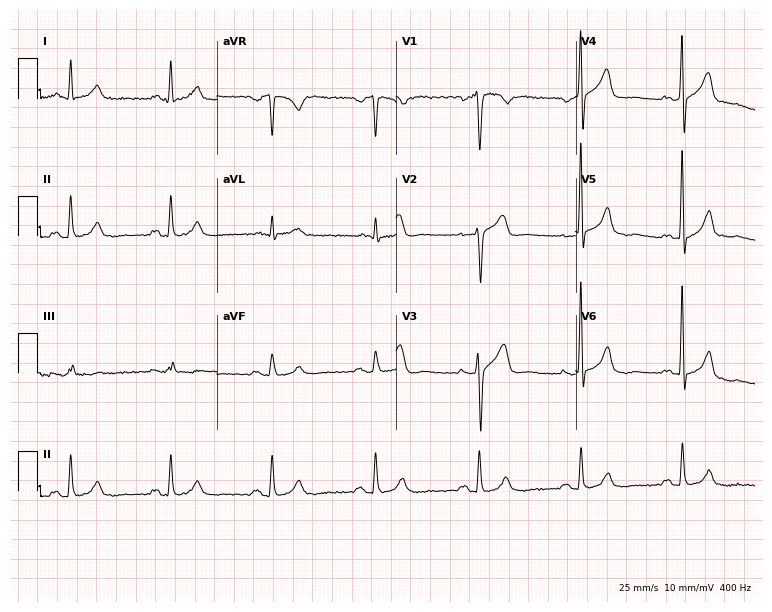
12-lead ECG (7.3-second recording at 400 Hz) from a 55-year-old man. Screened for six findings — first-degree AV block, right bundle branch block, left bundle branch block, sinus bradycardia, atrial fibrillation, sinus tachycardia — none is recorded.